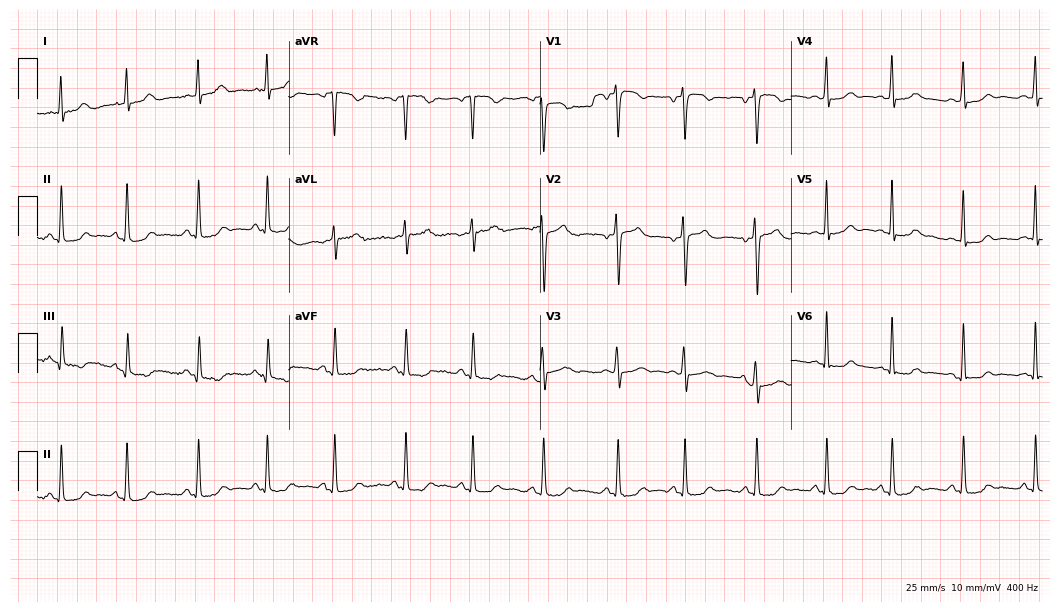
Resting 12-lead electrocardiogram. Patient: a woman, 17 years old. Read as a normal ECG.